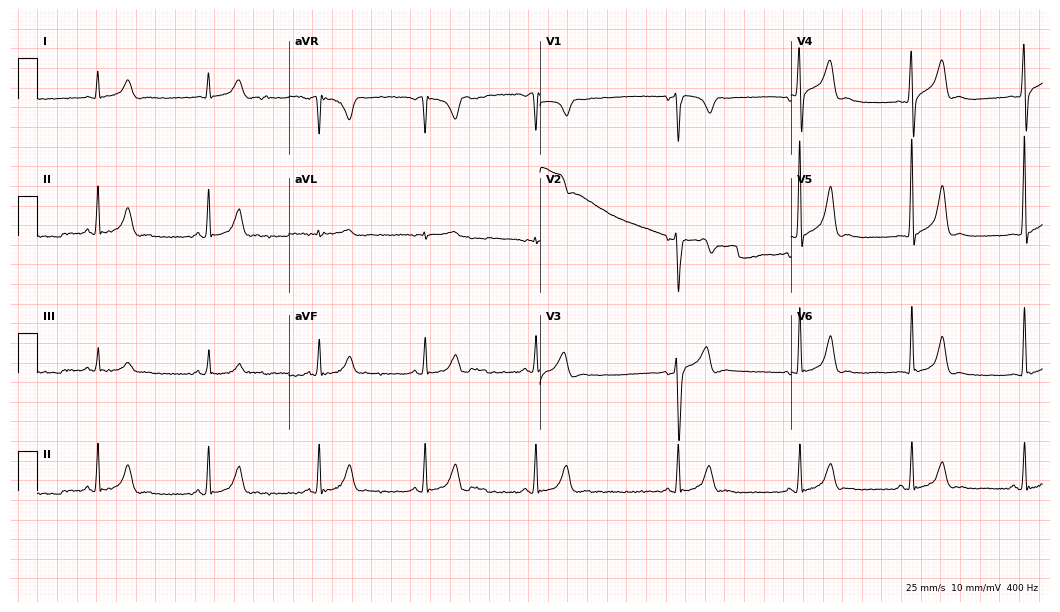
Standard 12-lead ECG recorded from a 38-year-old male. Read as a normal ECG.